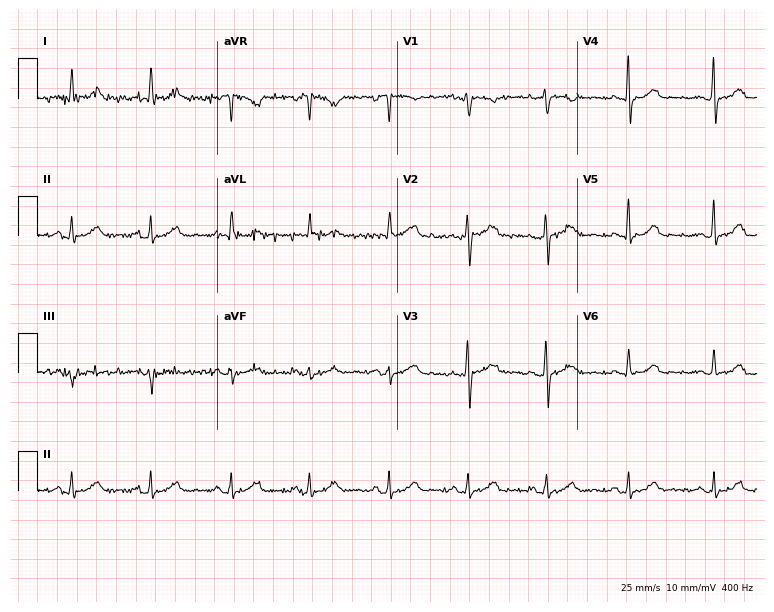
12-lead ECG from a female patient, 64 years old. Recorded interpretation: within normal limits.